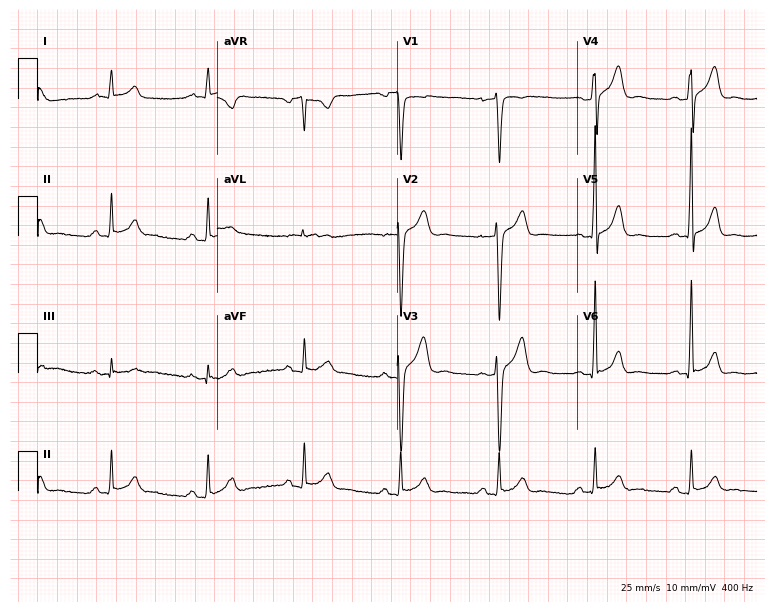
12-lead ECG (7.3-second recording at 400 Hz) from a 23-year-old male patient. Labelled as a normal ECG.